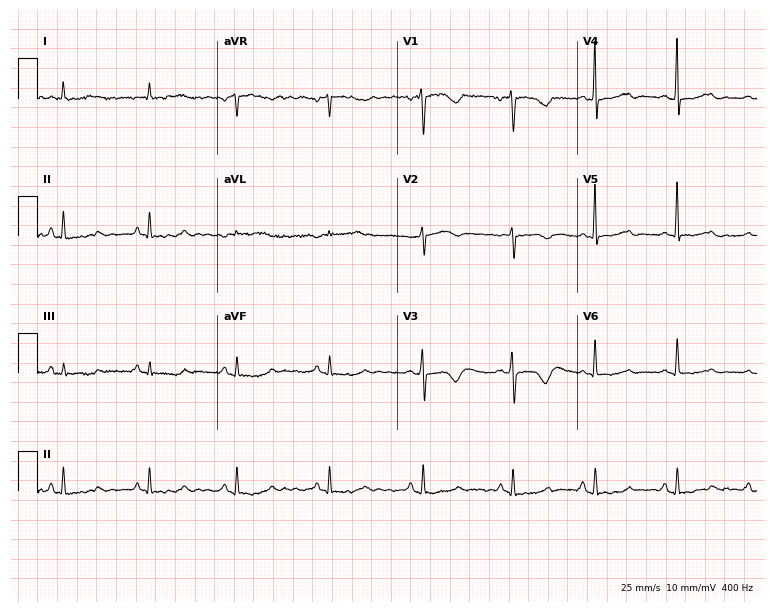
12-lead ECG from a 47-year-old female (7.3-second recording at 400 Hz). No first-degree AV block, right bundle branch block, left bundle branch block, sinus bradycardia, atrial fibrillation or sinus tachycardia recorded for this tracing.